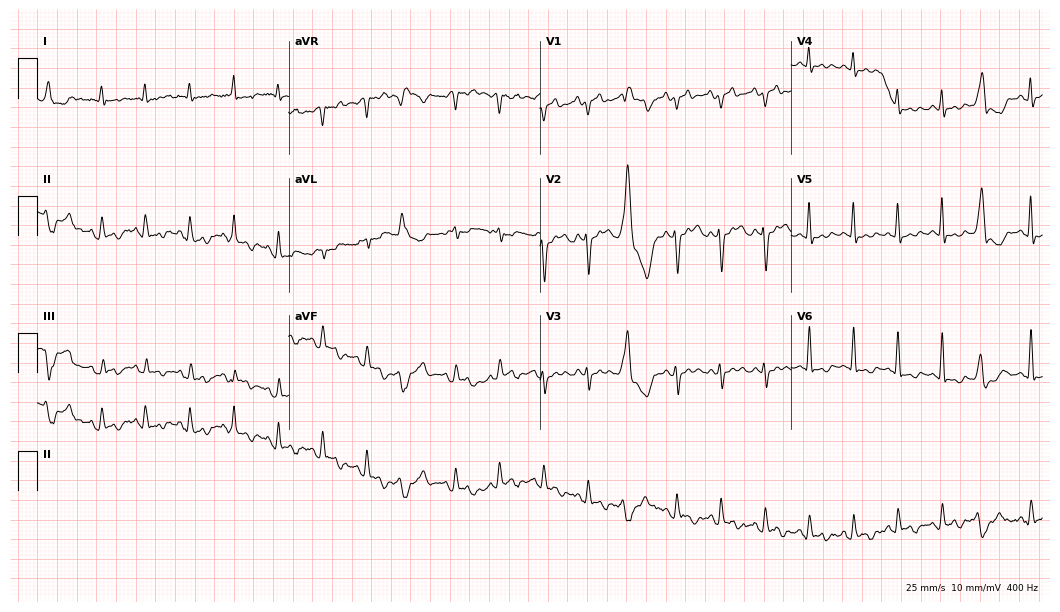
Standard 12-lead ECG recorded from a 71-year-old woman. None of these six findings is recorded: first-degree AV block, right bundle branch block, left bundle branch block, sinus bradycardia, atrial fibrillation, sinus tachycardia. Findings outside these six are not listed.